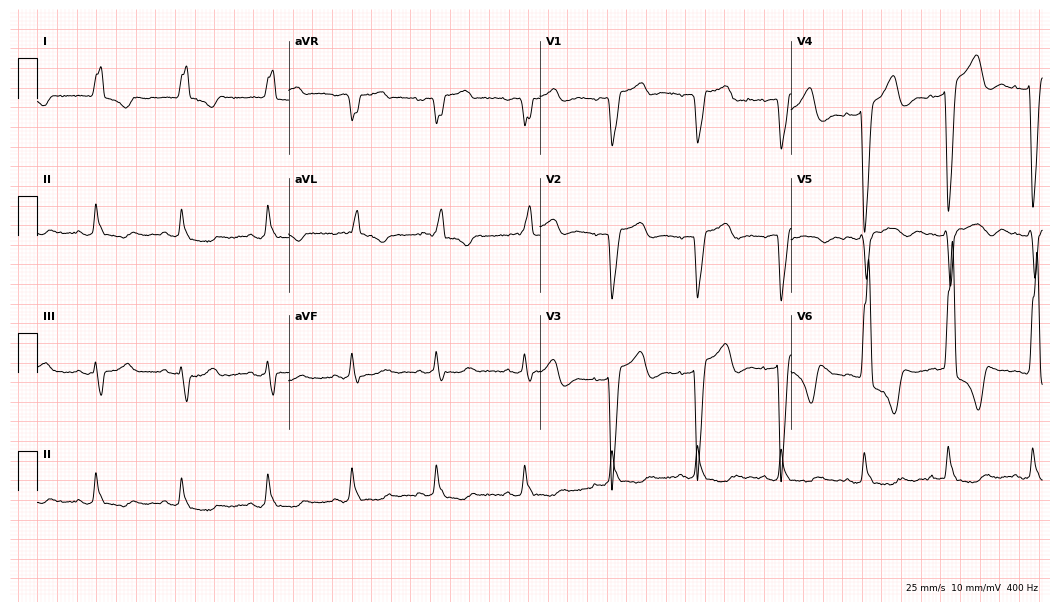
12-lead ECG (10.2-second recording at 400 Hz) from a female, 73 years old. Findings include left bundle branch block.